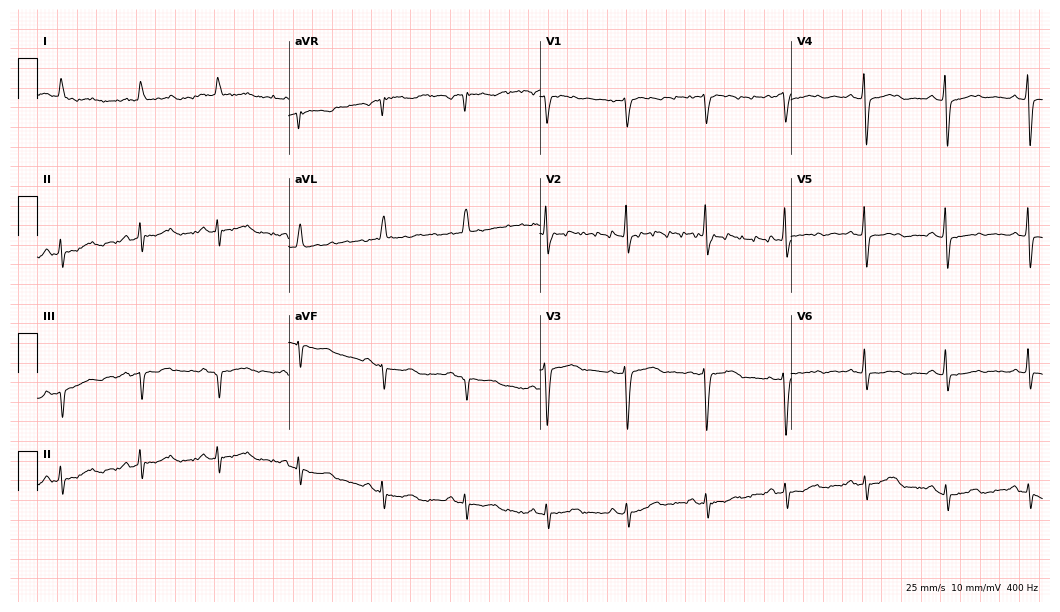
Electrocardiogram, a 70-year-old female. Of the six screened findings (first-degree AV block, right bundle branch block, left bundle branch block, sinus bradycardia, atrial fibrillation, sinus tachycardia), none is recorded.